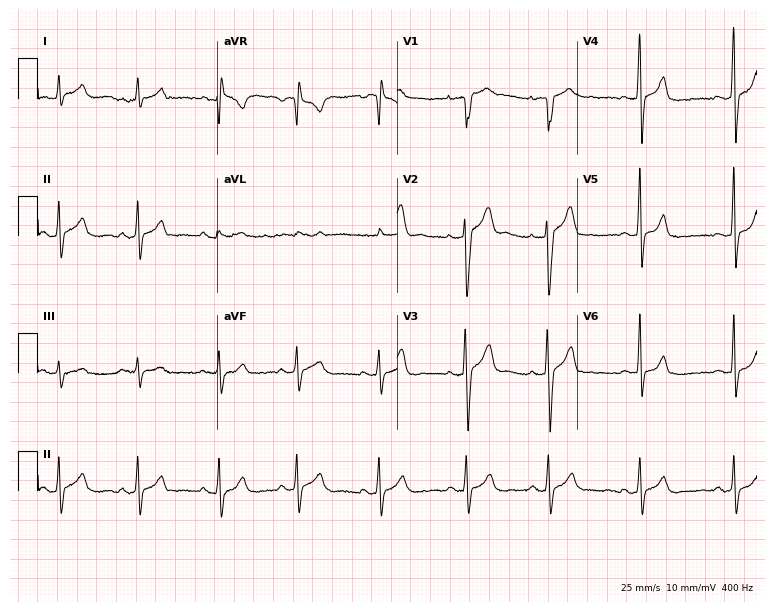
ECG (7.3-second recording at 400 Hz) — a 27-year-old male. Labelled as a normal ECG.